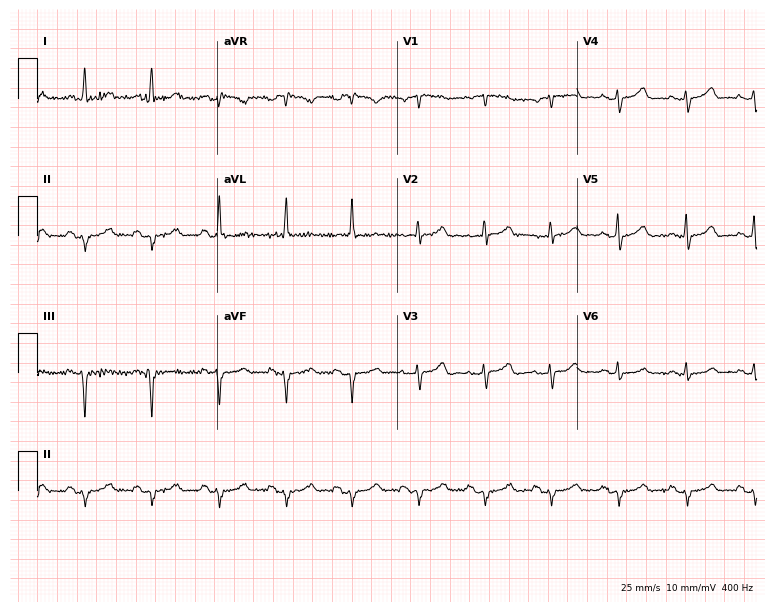
12-lead ECG from a female, 58 years old. No first-degree AV block, right bundle branch block (RBBB), left bundle branch block (LBBB), sinus bradycardia, atrial fibrillation (AF) or sinus tachycardia recorded for this tracing. Only these six findings were labelled.